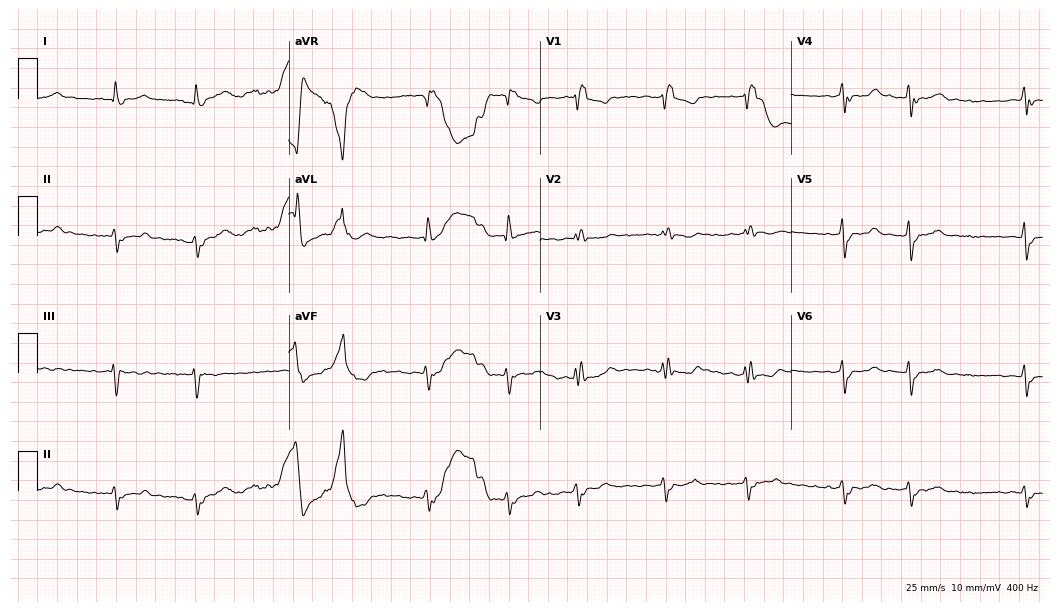
Standard 12-lead ECG recorded from a female, 85 years old. The tracing shows right bundle branch block, atrial fibrillation.